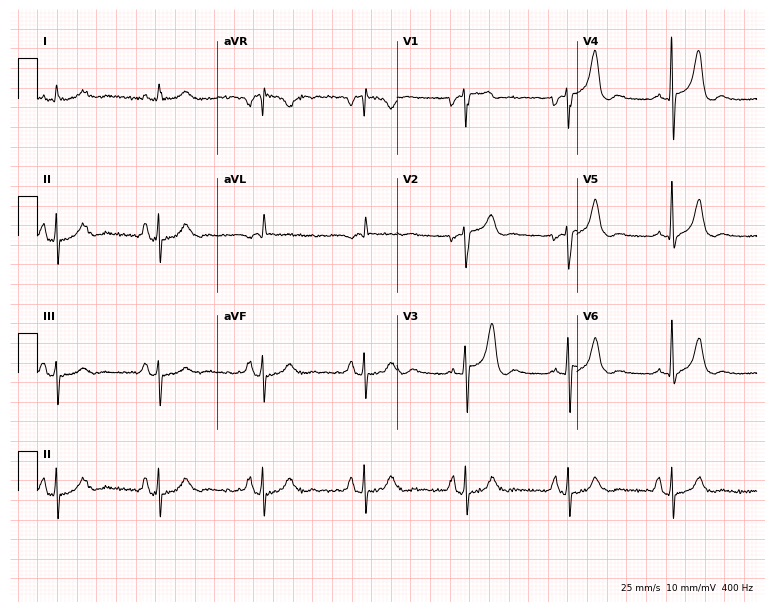
Standard 12-lead ECG recorded from a 71-year-old male patient (7.3-second recording at 400 Hz). None of these six findings is recorded: first-degree AV block, right bundle branch block (RBBB), left bundle branch block (LBBB), sinus bradycardia, atrial fibrillation (AF), sinus tachycardia.